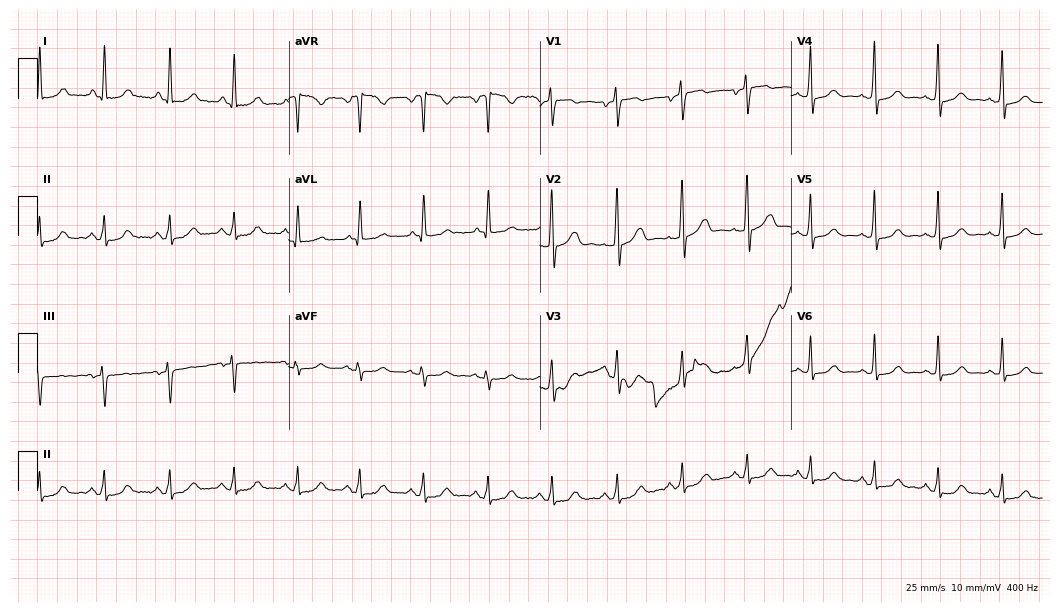
Standard 12-lead ECG recorded from a female, 64 years old (10.2-second recording at 400 Hz). None of these six findings is recorded: first-degree AV block, right bundle branch block (RBBB), left bundle branch block (LBBB), sinus bradycardia, atrial fibrillation (AF), sinus tachycardia.